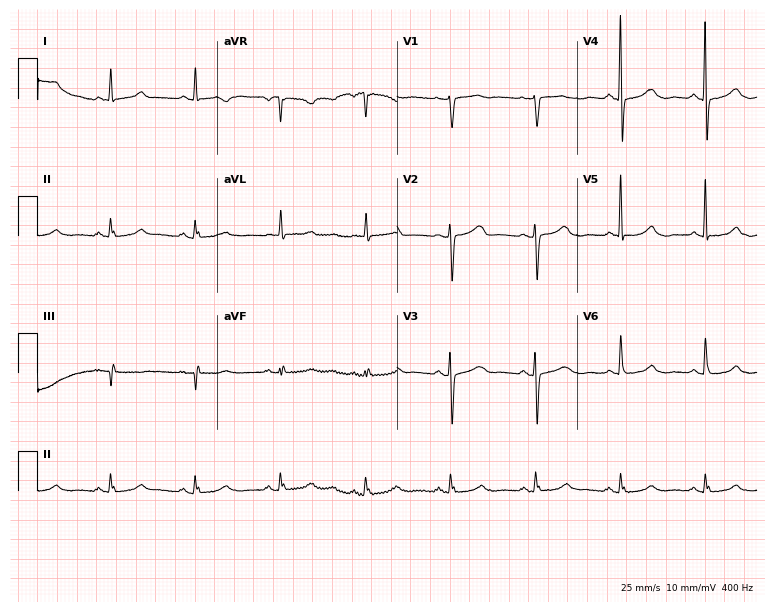
Resting 12-lead electrocardiogram. Patient: a female, 78 years old. None of these six findings is recorded: first-degree AV block, right bundle branch block, left bundle branch block, sinus bradycardia, atrial fibrillation, sinus tachycardia.